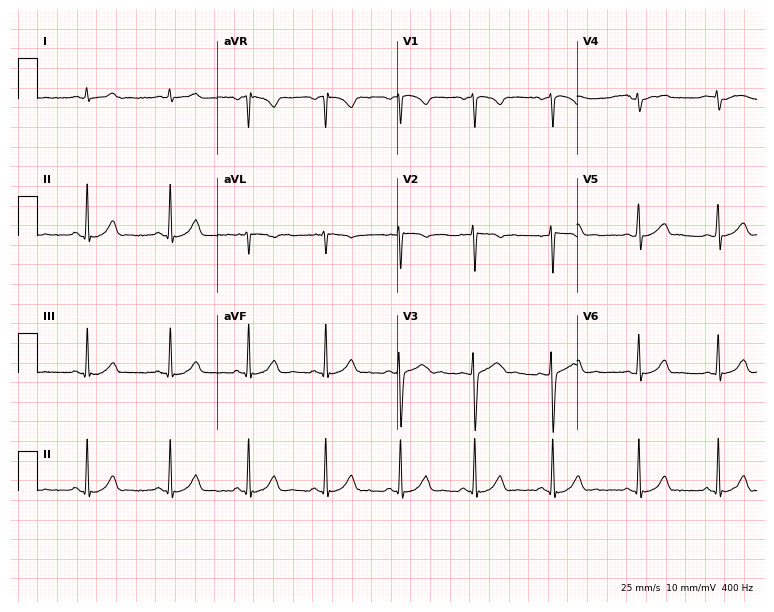
12-lead ECG from a woman, 27 years old (7.3-second recording at 400 Hz). Recorded interpretation: within normal limits.